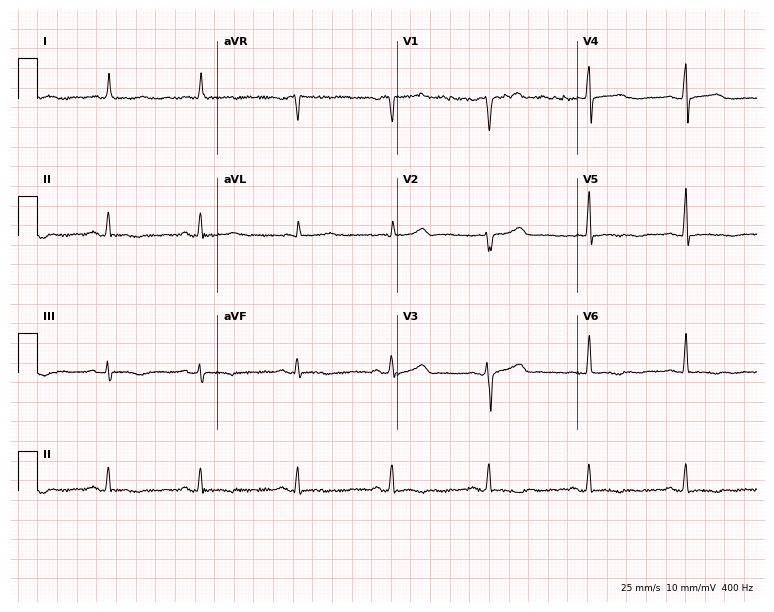
ECG — a 48-year-old male patient. Screened for six findings — first-degree AV block, right bundle branch block, left bundle branch block, sinus bradycardia, atrial fibrillation, sinus tachycardia — none is recorded. Other findings, if any, are not listed.